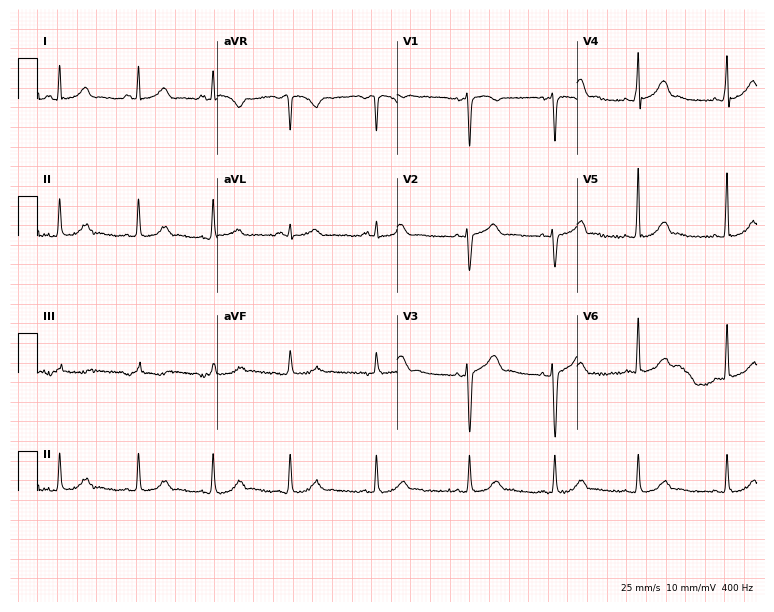
Resting 12-lead electrocardiogram (7.3-second recording at 400 Hz). Patient: a 40-year-old female. Read as a normal ECG.